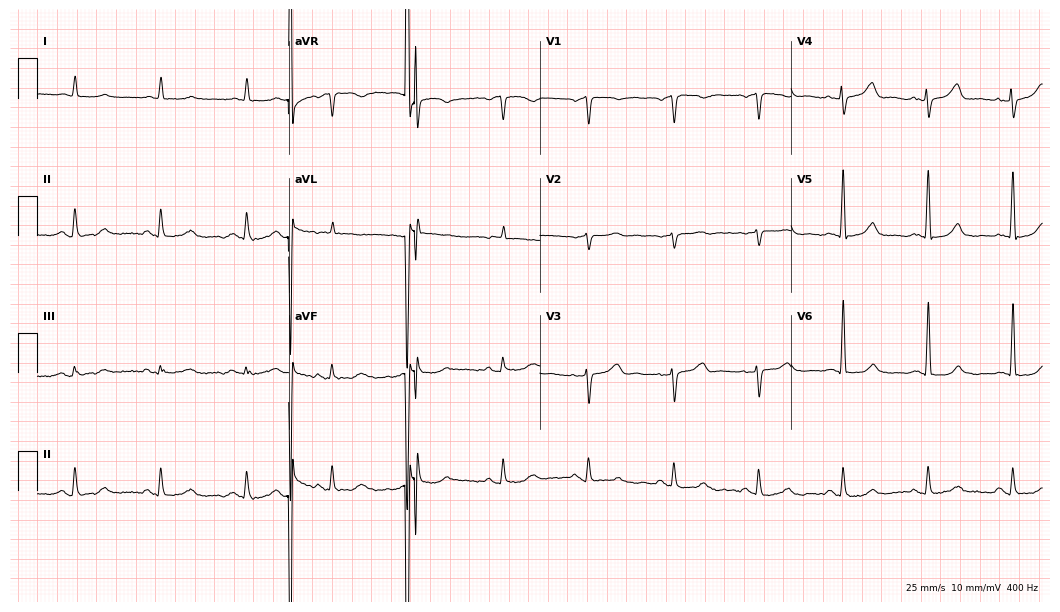
Resting 12-lead electrocardiogram (10.2-second recording at 400 Hz). Patient: an 81-year-old female. Read as a normal ECG.